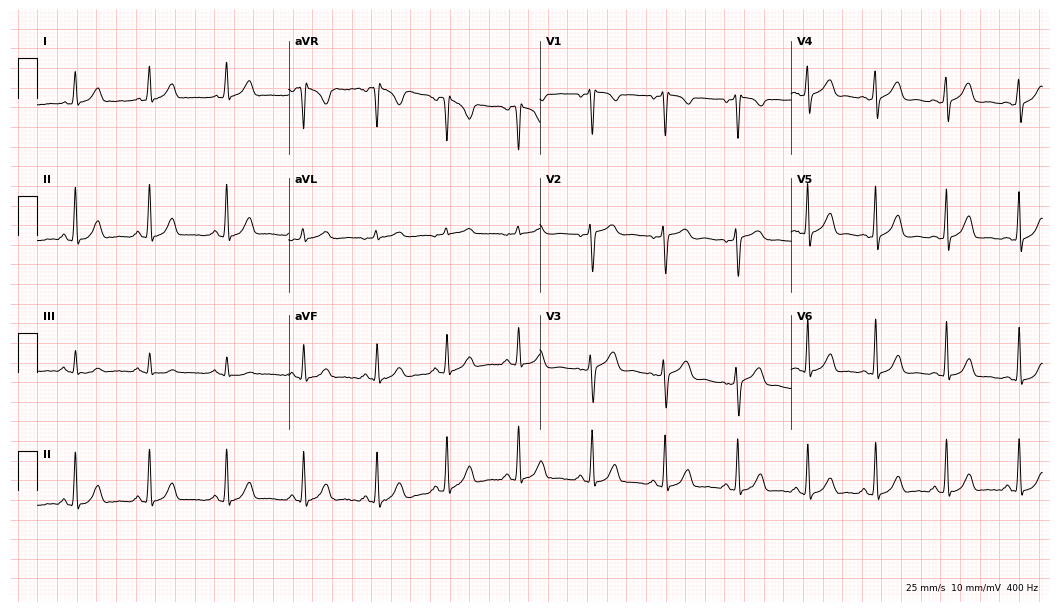
ECG — a female, 33 years old. Screened for six findings — first-degree AV block, right bundle branch block (RBBB), left bundle branch block (LBBB), sinus bradycardia, atrial fibrillation (AF), sinus tachycardia — none is recorded. Findings outside these six are not listed.